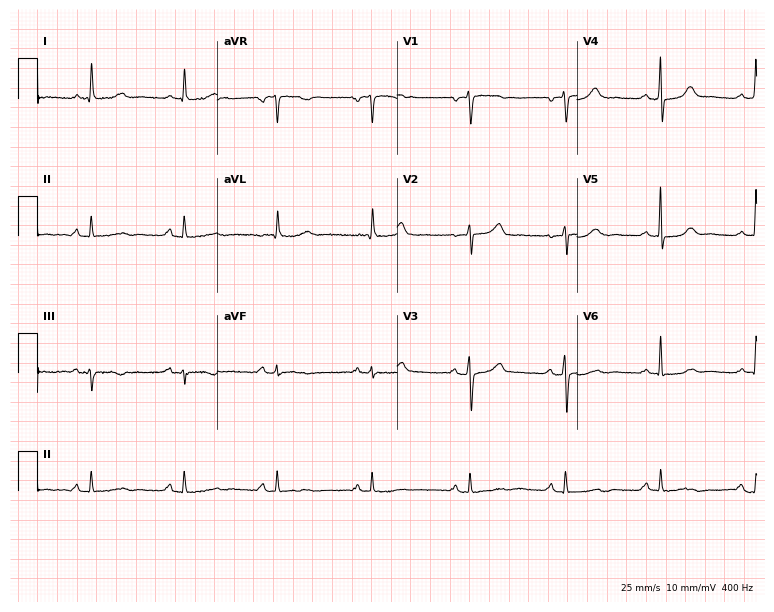
12-lead ECG from a 61-year-old female (7.3-second recording at 400 Hz). No first-degree AV block, right bundle branch block (RBBB), left bundle branch block (LBBB), sinus bradycardia, atrial fibrillation (AF) or sinus tachycardia recorded for this tracing. Only these six findings were labelled.